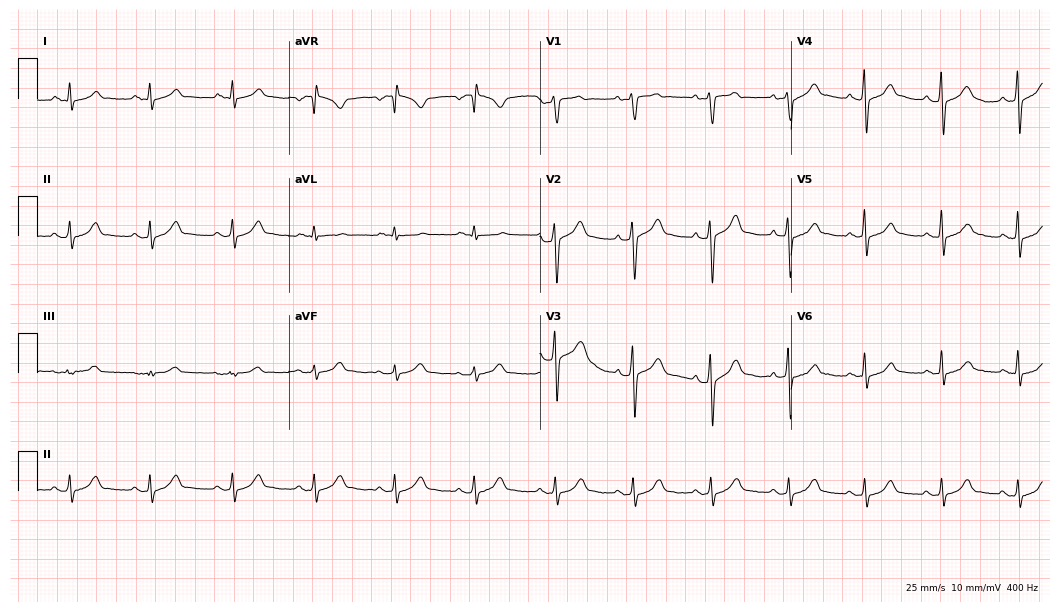
Electrocardiogram (10.2-second recording at 400 Hz), a 49-year-old male. Overall reading on record: normal ECG.